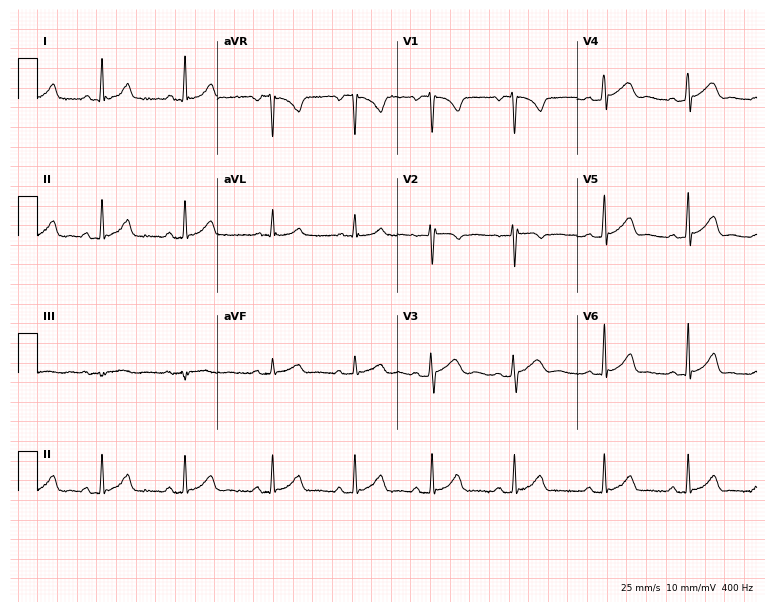
12-lead ECG from a 23-year-old man. Recorded interpretation: within normal limits.